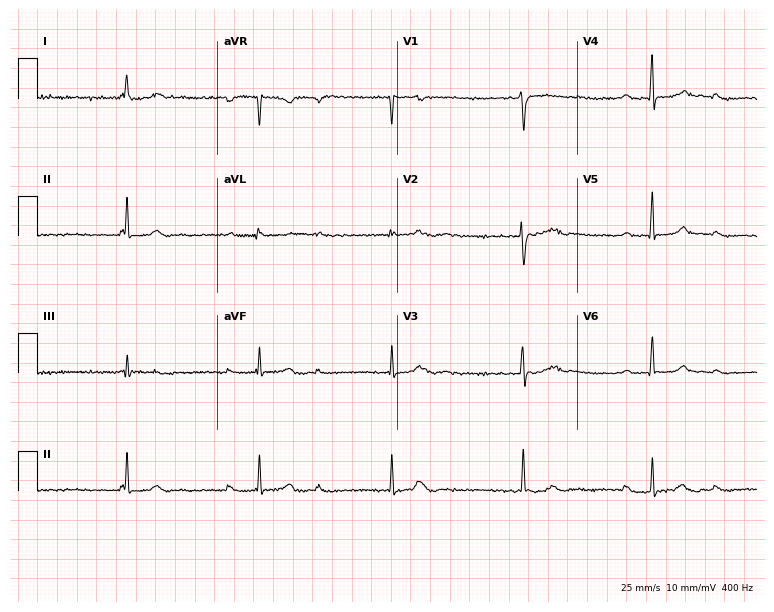
Electrocardiogram, a 26-year-old female. Interpretation includes sinus bradycardia (a sinus rate of 50 beats per minute or less).